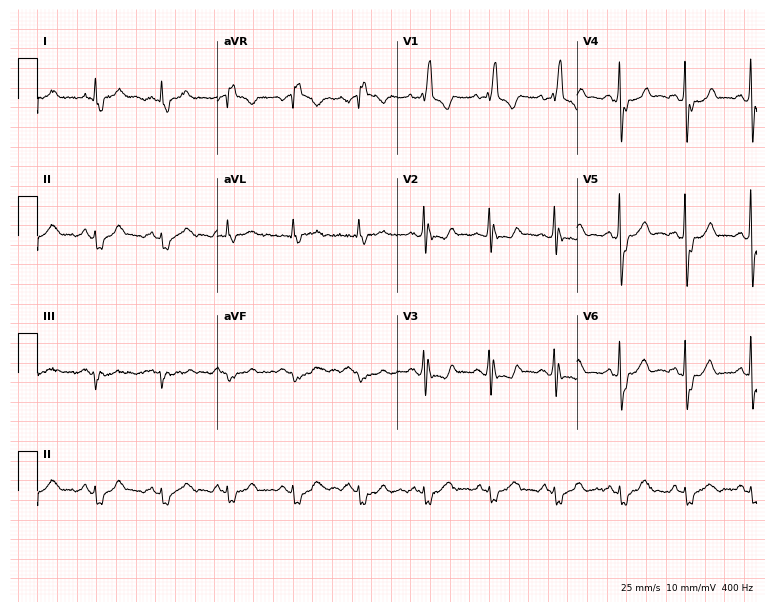
Electrocardiogram, a male, 84 years old. Interpretation includes right bundle branch block.